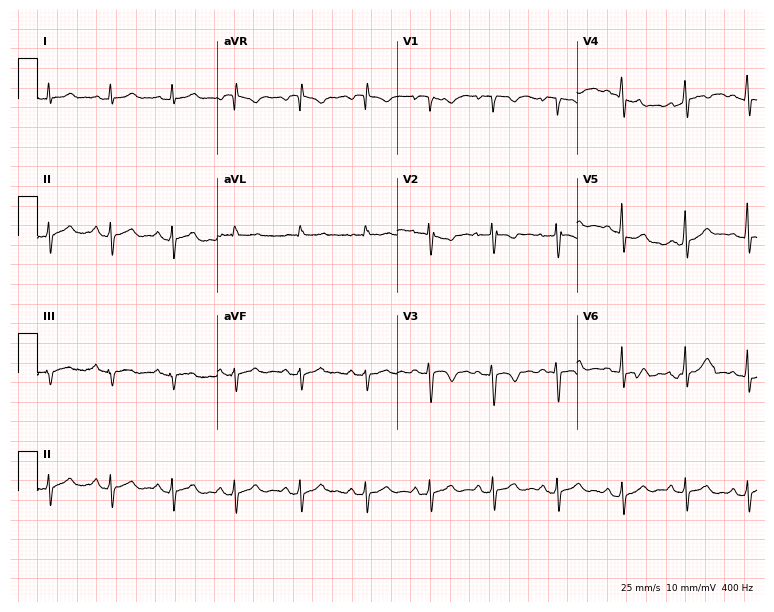
Resting 12-lead electrocardiogram (7.3-second recording at 400 Hz). Patient: a 17-year-old female. Read as a normal ECG.